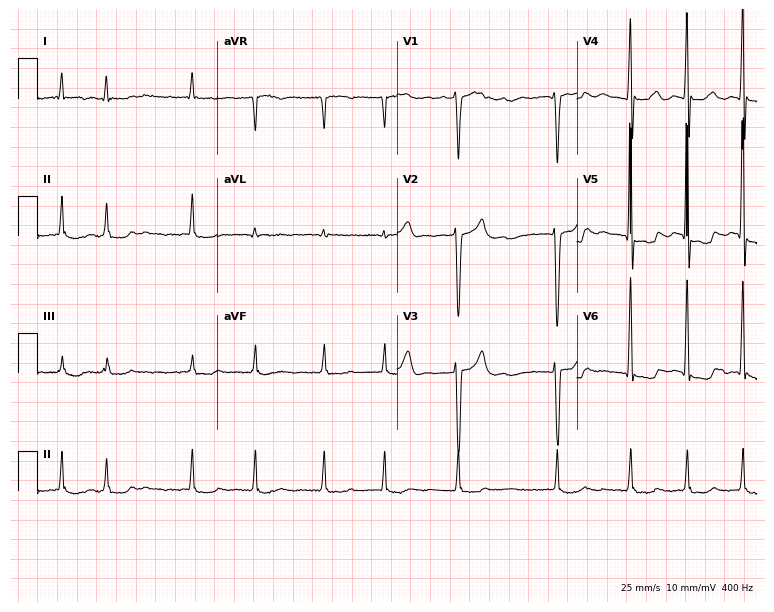
12-lead ECG from a 74-year-old male (7.3-second recording at 400 Hz). Shows atrial fibrillation (AF).